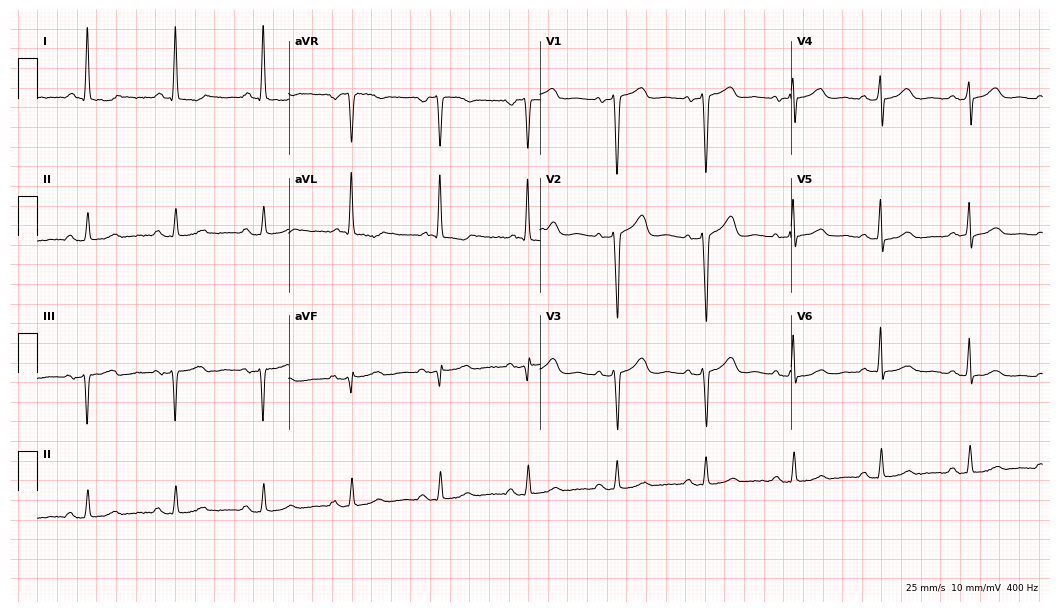
Electrocardiogram (10.2-second recording at 400 Hz), a 57-year-old woman. Of the six screened findings (first-degree AV block, right bundle branch block, left bundle branch block, sinus bradycardia, atrial fibrillation, sinus tachycardia), none is recorded. Findings outside these six are not listed.